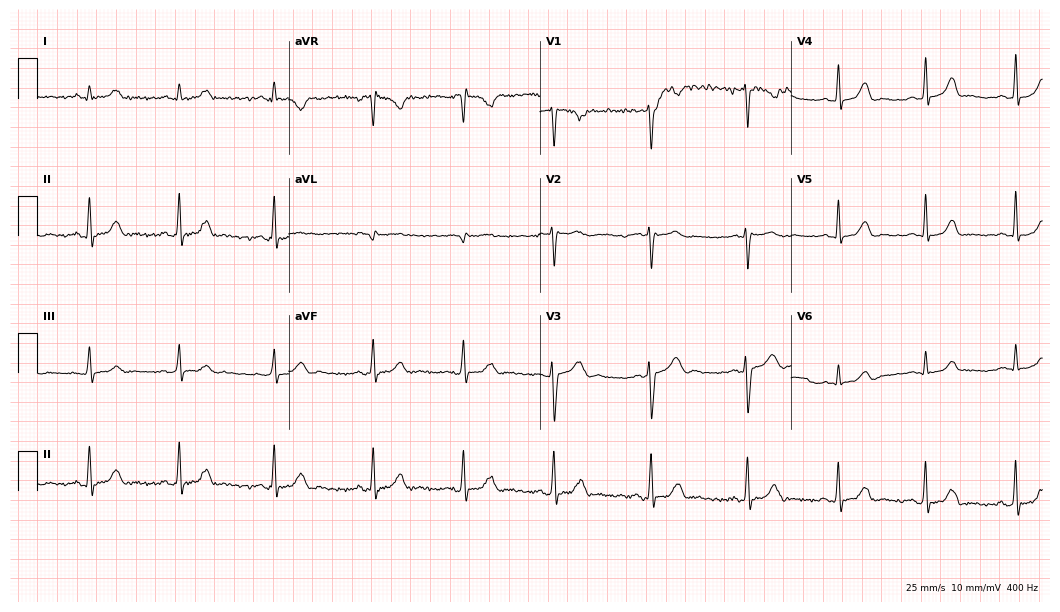
Standard 12-lead ECG recorded from a woman, 38 years old. None of these six findings is recorded: first-degree AV block, right bundle branch block (RBBB), left bundle branch block (LBBB), sinus bradycardia, atrial fibrillation (AF), sinus tachycardia. Other findings, if any, are not listed.